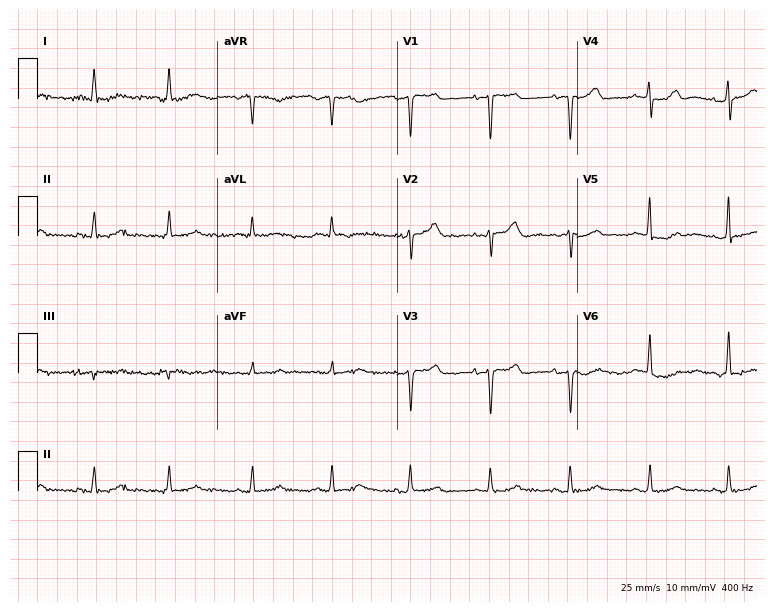
Resting 12-lead electrocardiogram. Patient: a 65-year-old woman. Read as a normal ECG.